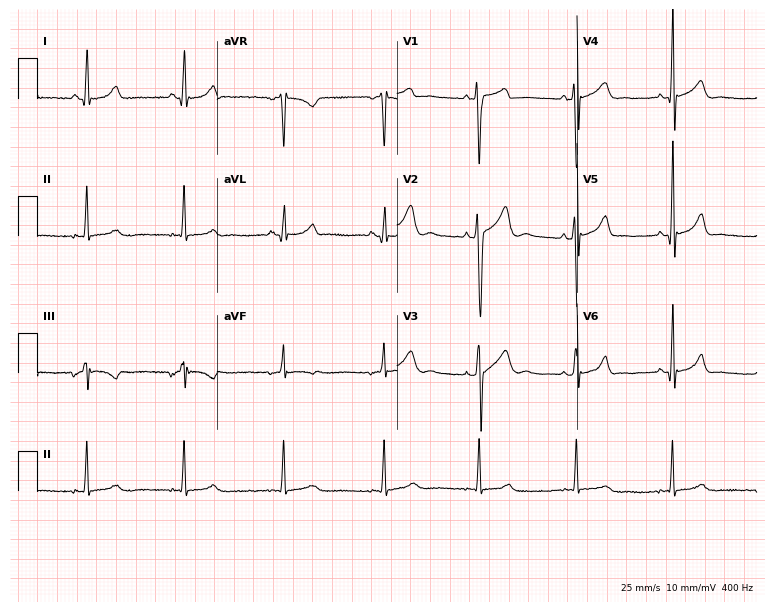
12-lead ECG (7.3-second recording at 400 Hz) from a male patient, 25 years old. Screened for six findings — first-degree AV block, right bundle branch block, left bundle branch block, sinus bradycardia, atrial fibrillation, sinus tachycardia — none is recorded. Findings outside these six are not listed.